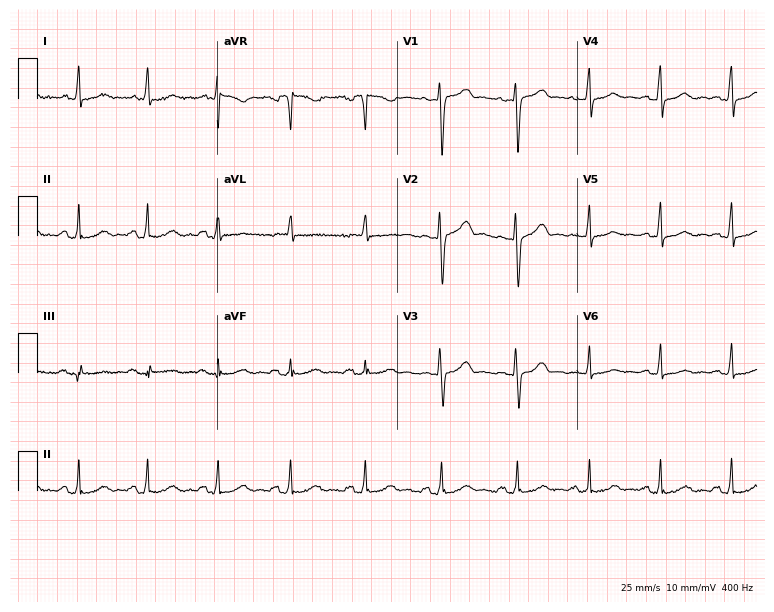
Resting 12-lead electrocardiogram. Patient: a 38-year-old female. Read as a normal ECG.